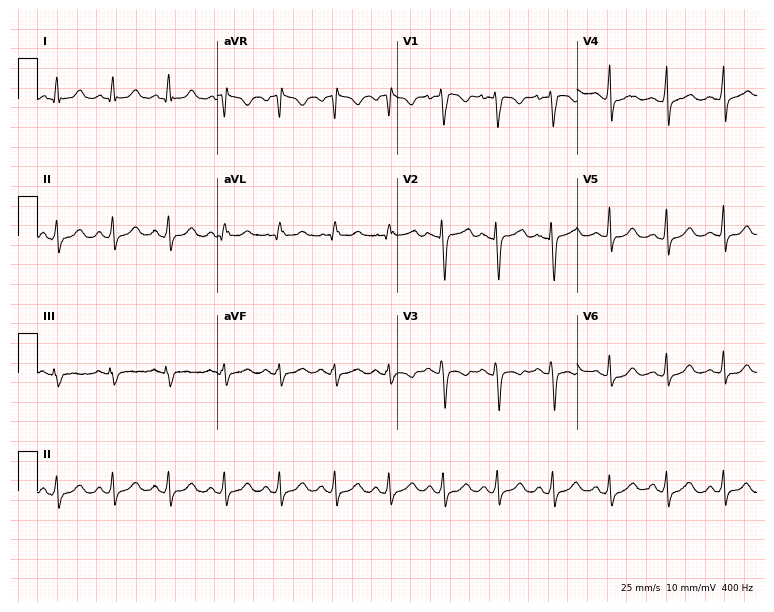
Resting 12-lead electrocardiogram. Patient: a woman, 18 years old. The tracing shows sinus tachycardia (a sinus rate of 100 beats per minute or more).